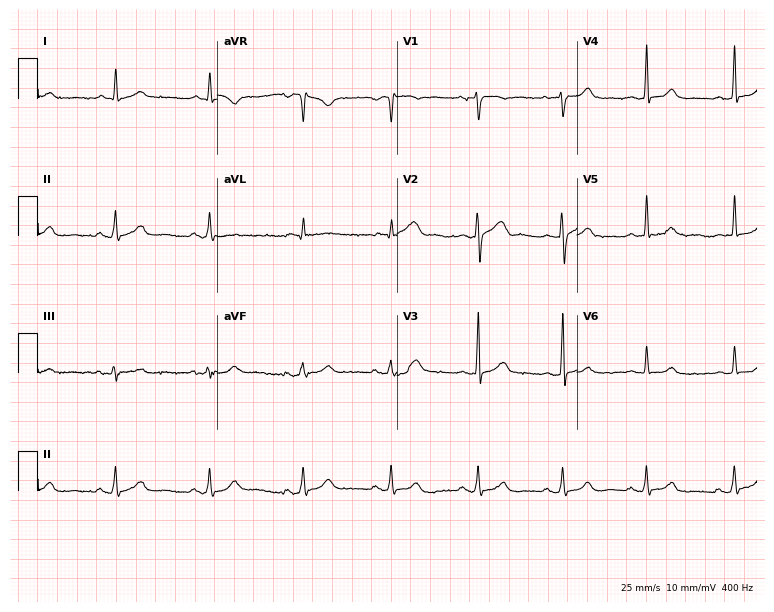
12-lead ECG from a 31-year-old male patient. Labelled as a normal ECG.